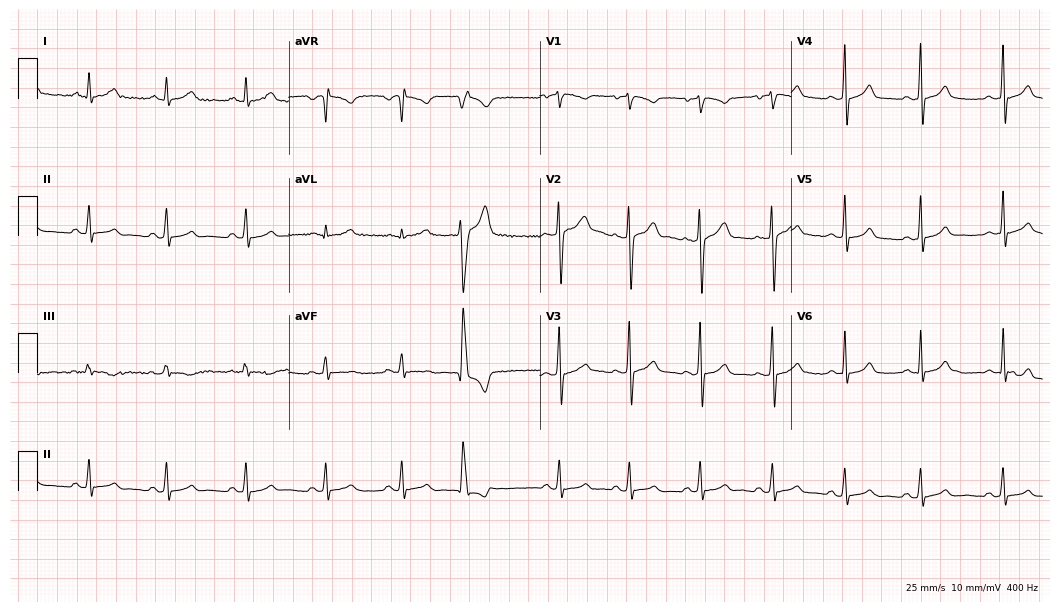
12-lead ECG from a 32-year-old female patient. Screened for six findings — first-degree AV block, right bundle branch block, left bundle branch block, sinus bradycardia, atrial fibrillation, sinus tachycardia — none is recorded. Other findings, if any, are not listed.